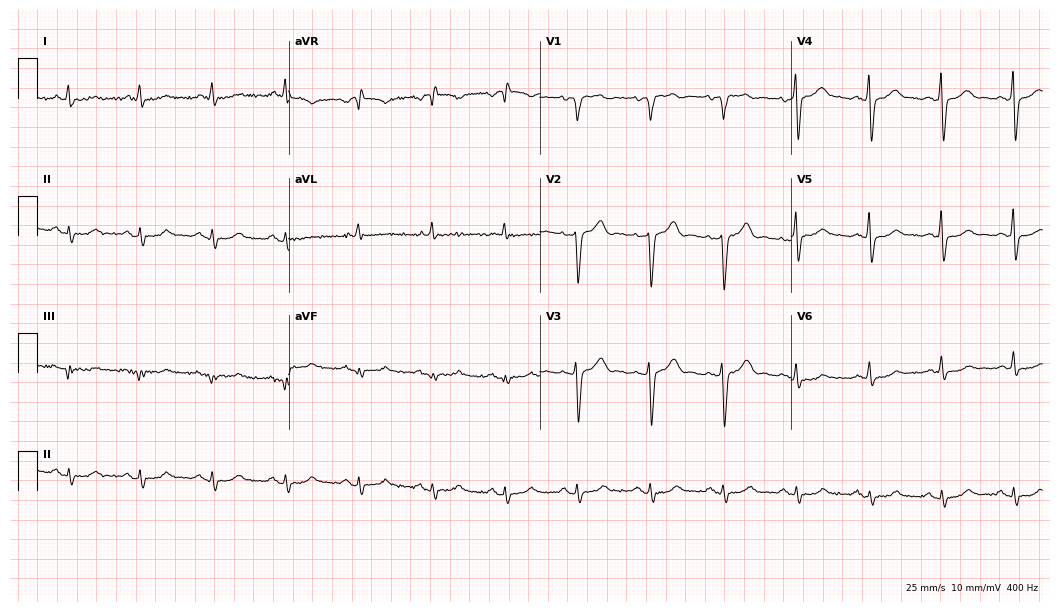
Standard 12-lead ECG recorded from a 59-year-old woman (10.2-second recording at 400 Hz). None of these six findings is recorded: first-degree AV block, right bundle branch block (RBBB), left bundle branch block (LBBB), sinus bradycardia, atrial fibrillation (AF), sinus tachycardia.